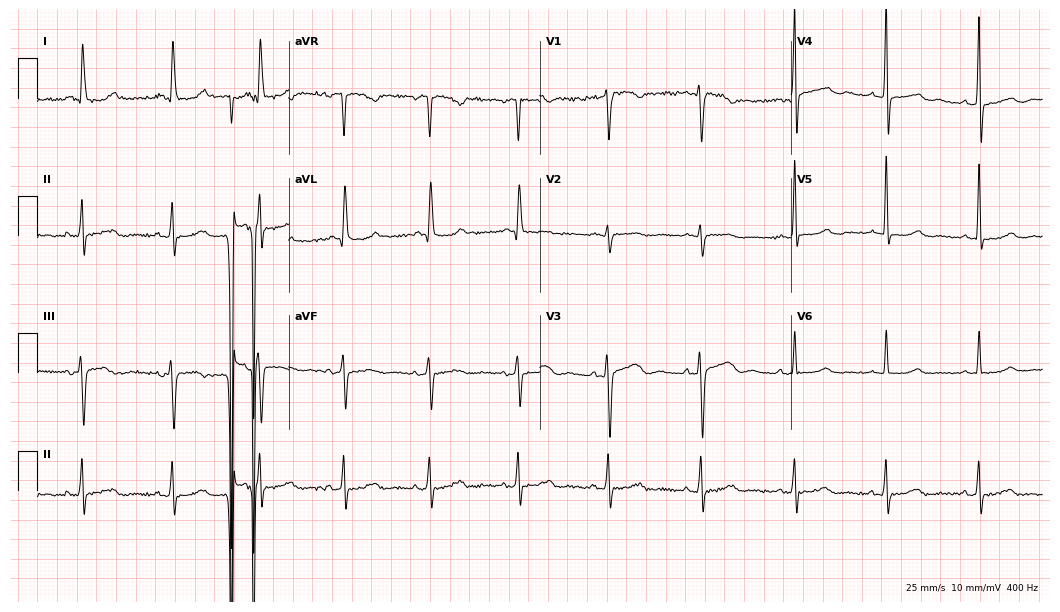
Standard 12-lead ECG recorded from a man, 56 years old. Read as a normal ECG.